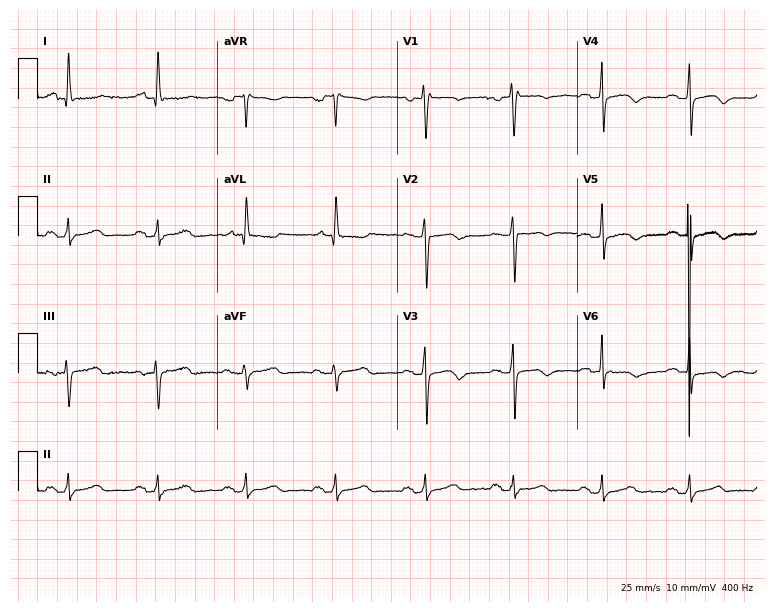
ECG — a female patient, 58 years old. Screened for six findings — first-degree AV block, right bundle branch block, left bundle branch block, sinus bradycardia, atrial fibrillation, sinus tachycardia — none is recorded. Findings outside these six are not listed.